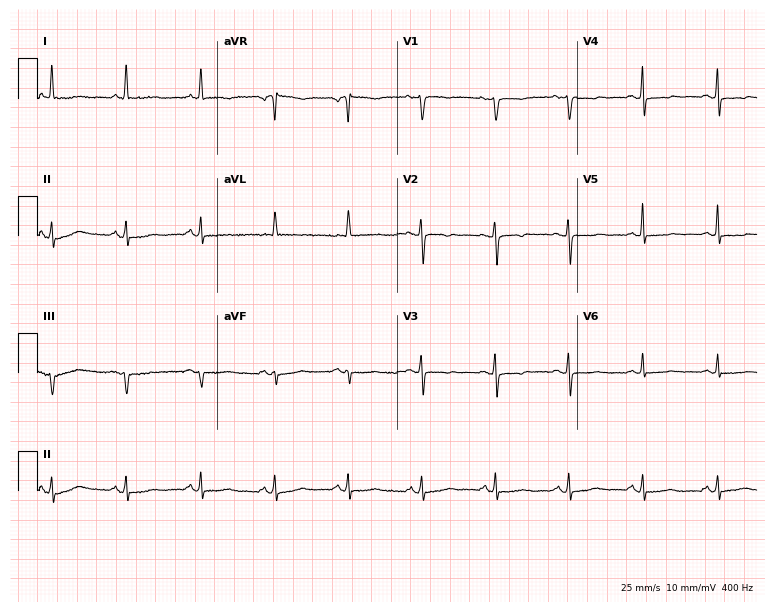
Resting 12-lead electrocardiogram (7.3-second recording at 400 Hz). Patient: a 69-year-old female. None of these six findings is recorded: first-degree AV block, right bundle branch block, left bundle branch block, sinus bradycardia, atrial fibrillation, sinus tachycardia. Other findings, if any, are not listed.